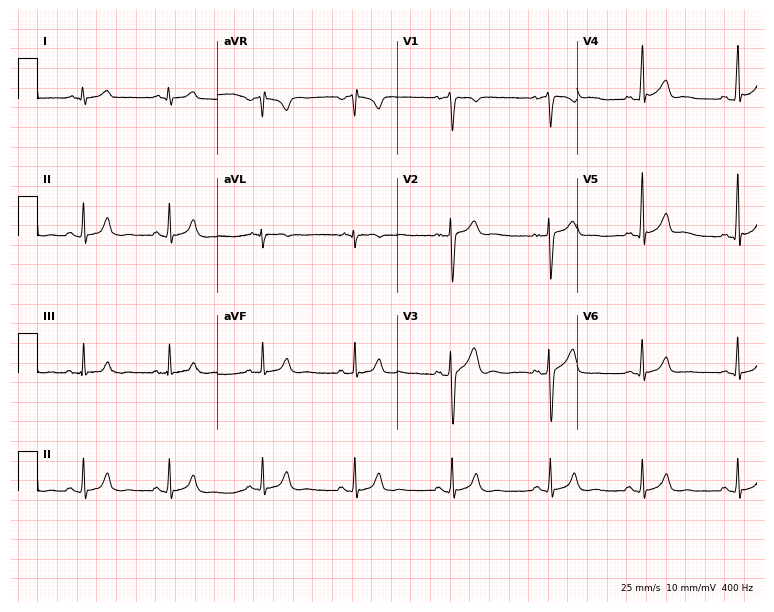
Resting 12-lead electrocardiogram (7.3-second recording at 400 Hz). Patient: a male, 28 years old. None of these six findings is recorded: first-degree AV block, right bundle branch block, left bundle branch block, sinus bradycardia, atrial fibrillation, sinus tachycardia. Other findings, if any, are not listed.